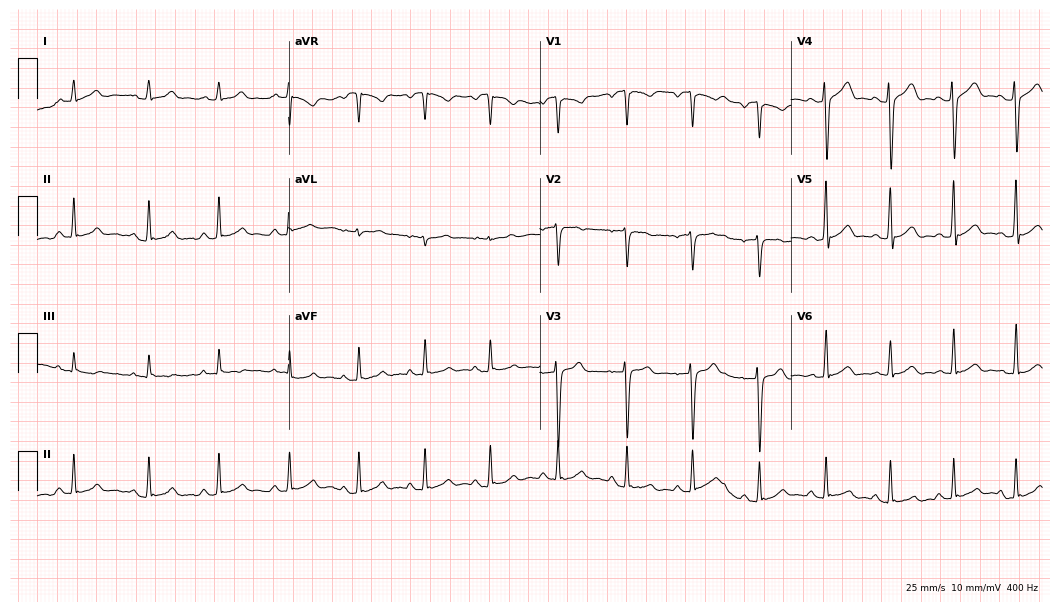
12-lead ECG from a 20-year-old male patient (10.2-second recording at 400 Hz). Recorded interpretation: within normal limits.